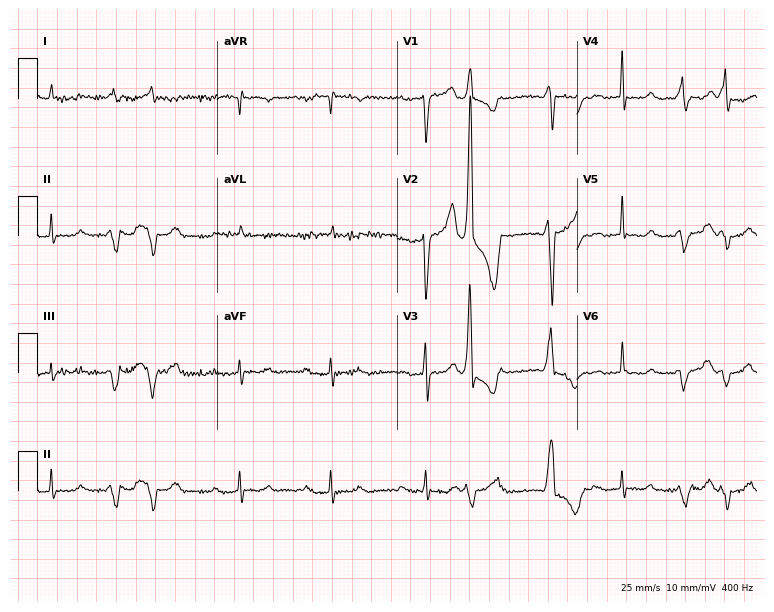
Standard 12-lead ECG recorded from an 81-year-old male patient. The tracing shows first-degree AV block.